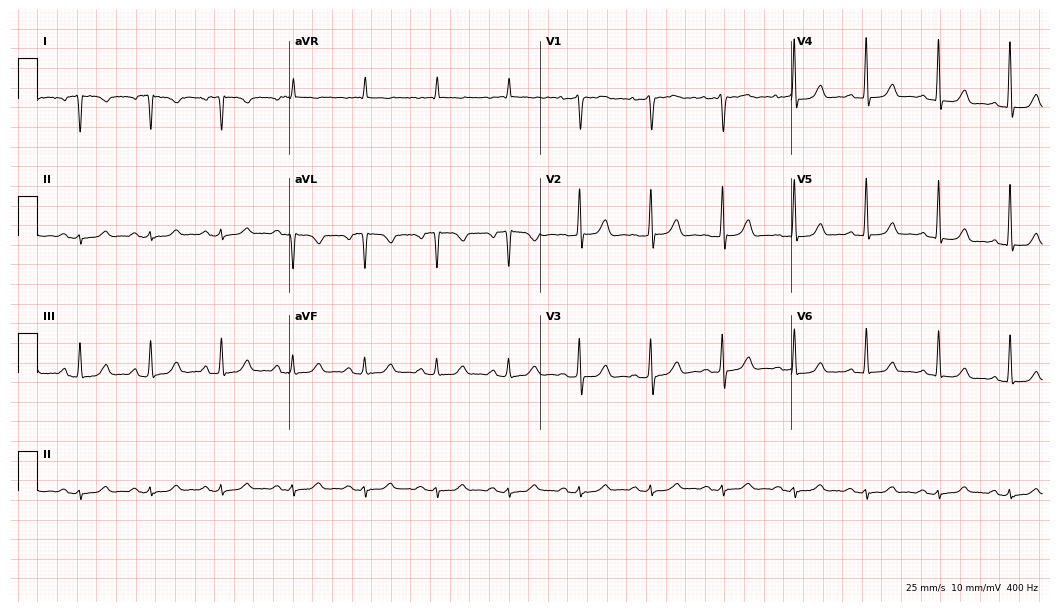
Resting 12-lead electrocardiogram (10.2-second recording at 400 Hz). Patient: a female, 70 years old. None of these six findings is recorded: first-degree AV block, right bundle branch block (RBBB), left bundle branch block (LBBB), sinus bradycardia, atrial fibrillation (AF), sinus tachycardia.